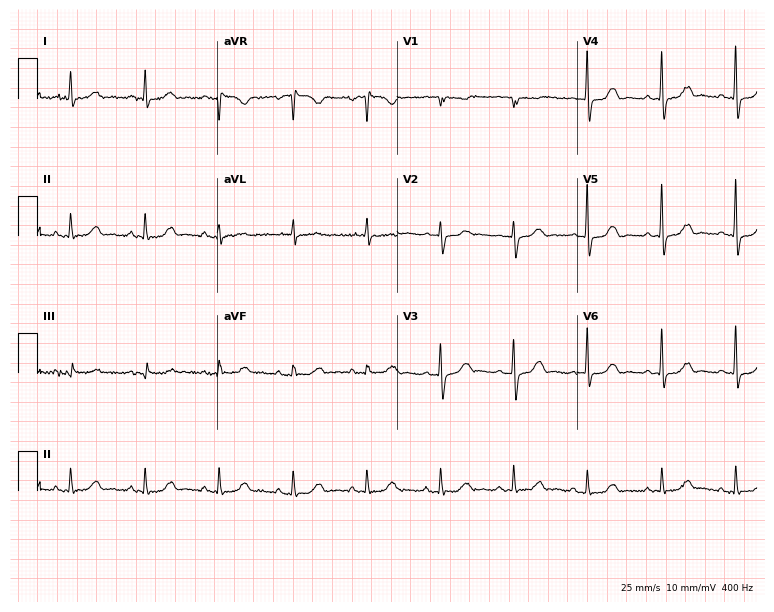
Electrocardiogram, a woman, 80 years old. Of the six screened findings (first-degree AV block, right bundle branch block (RBBB), left bundle branch block (LBBB), sinus bradycardia, atrial fibrillation (AF), sinus tachycardia), none is recorded. Findings outside these six are not listed.